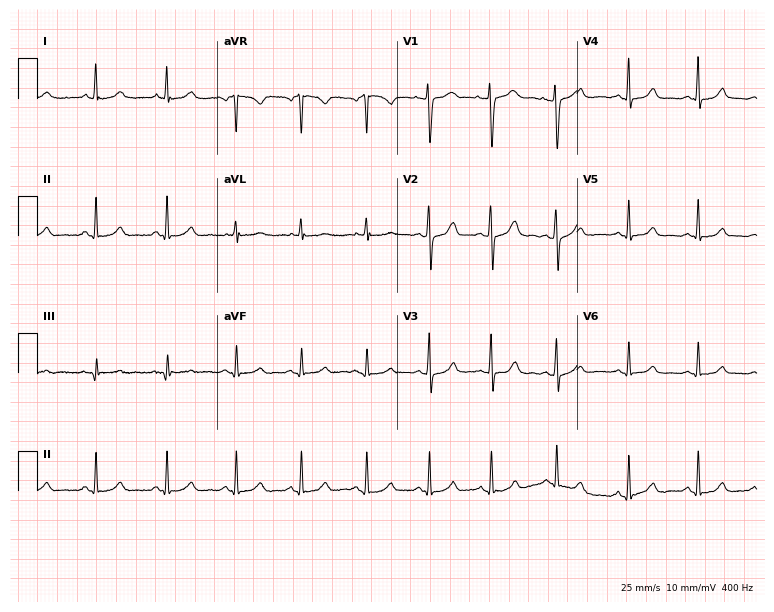
Resting 12-lead electrocardiogram. Patient: a woman, 33 years old. Read as a normal ECG.